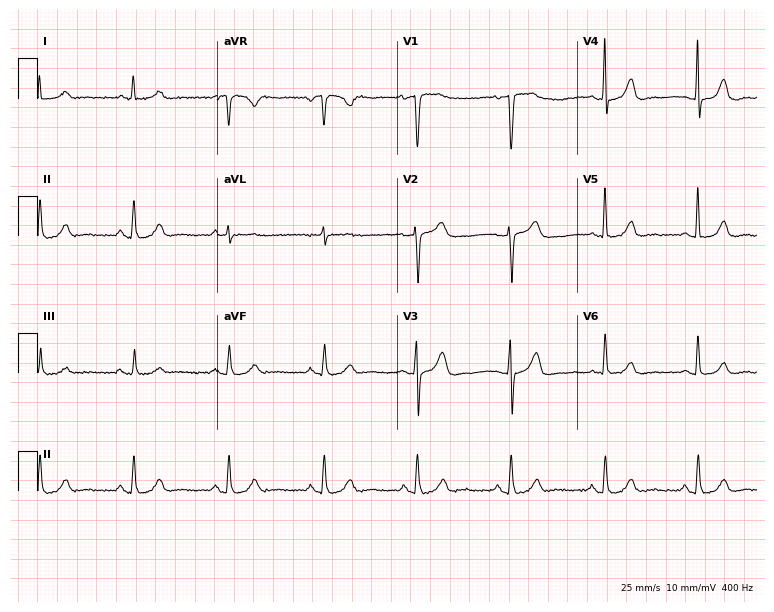
ECG (7.3-second recording at 400 Hz) — a 57-year-old man. Labelled as a normal ECG.